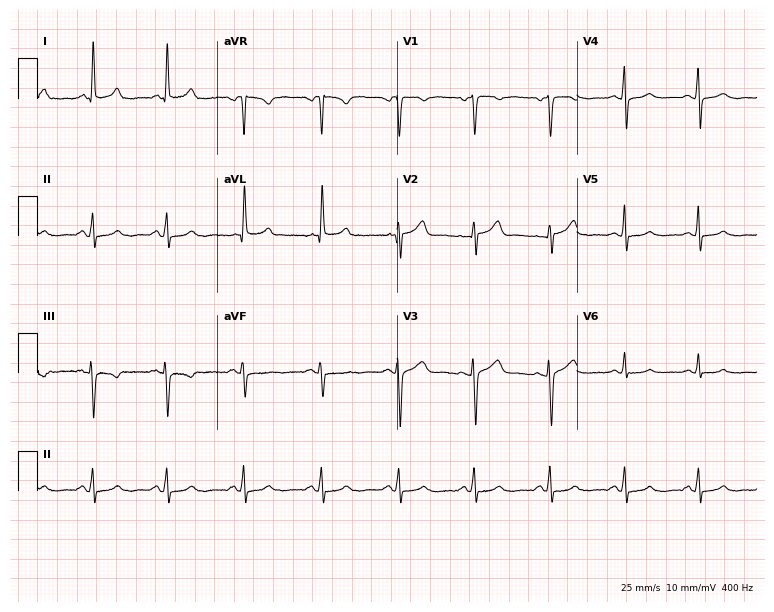
12-lead ECG from a 58-year-old female. Labelled as a normal ECG.